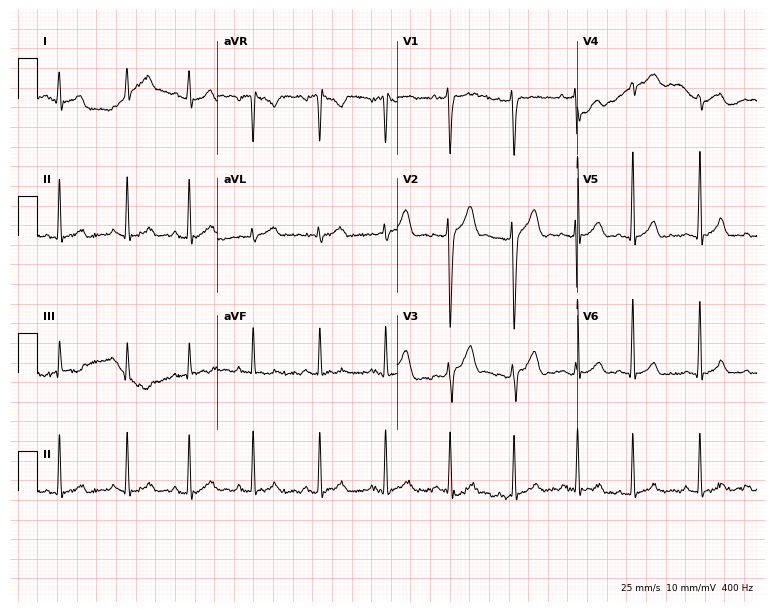
12-lead ECG (7.3-second recording at 400 Hz) from a 34-year-old man. Screened for six findings — first-degree AV block, right bundle branch block, left bundle branch block, sinus bradycardia, atrial fibrillation, sinus tachycardia — none is recorded. Other findings, if any, are not listed.